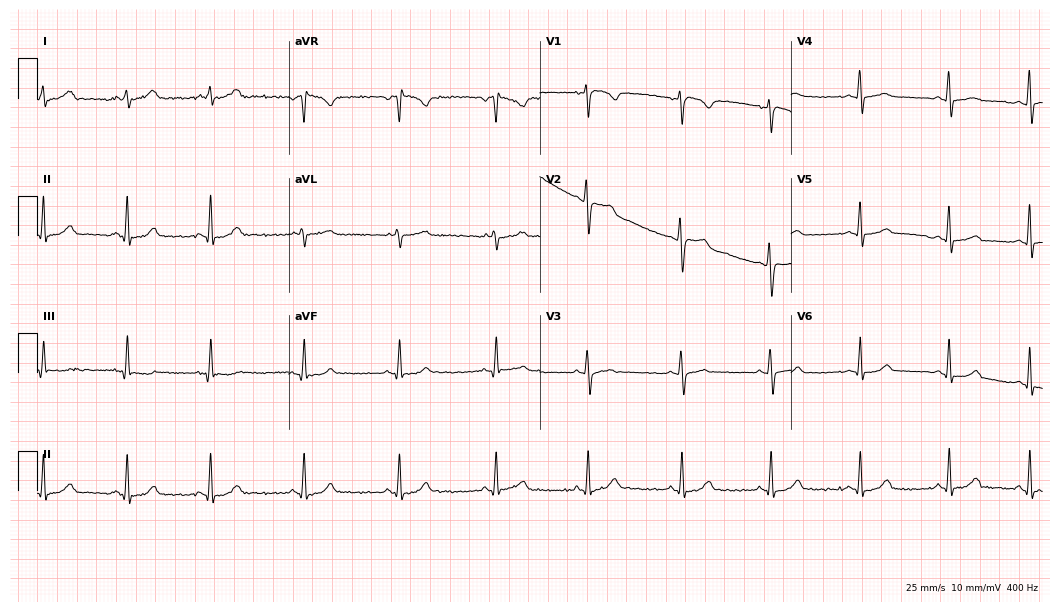
12-lead ECG from a 27-year-old female patient. No first-degree AV block, right bundle branch block, left bundle branch block, sinus bradycardia, atrial fibrillation or sinus tachycardia recorded for this tracing. Other findings, if any, are not listed.